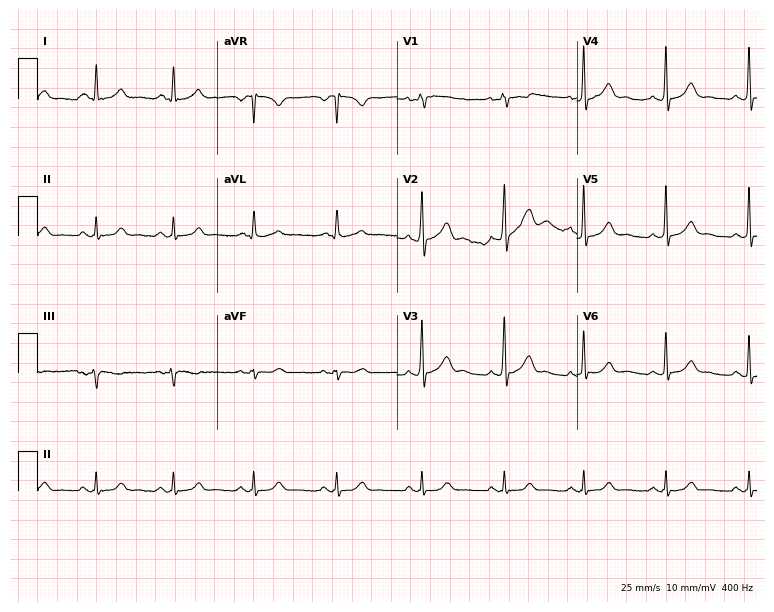
12-lead ECG (7.3-second recording at 400 Hz) from a man, 33 years old. Labelled as a normal ECG.